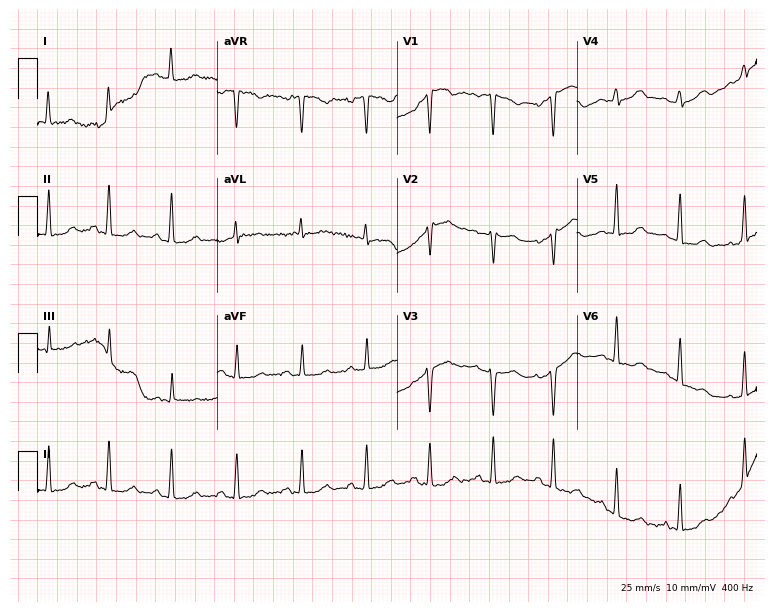
ECG — a woman, 46 years old. Screened for six findings — first-degree AV block, right bundle branch block, left bundle branch block, sinus bradycardia, atrial fibrillation, sinus tachycardia — none is recorded. Only these six findings were labelled.